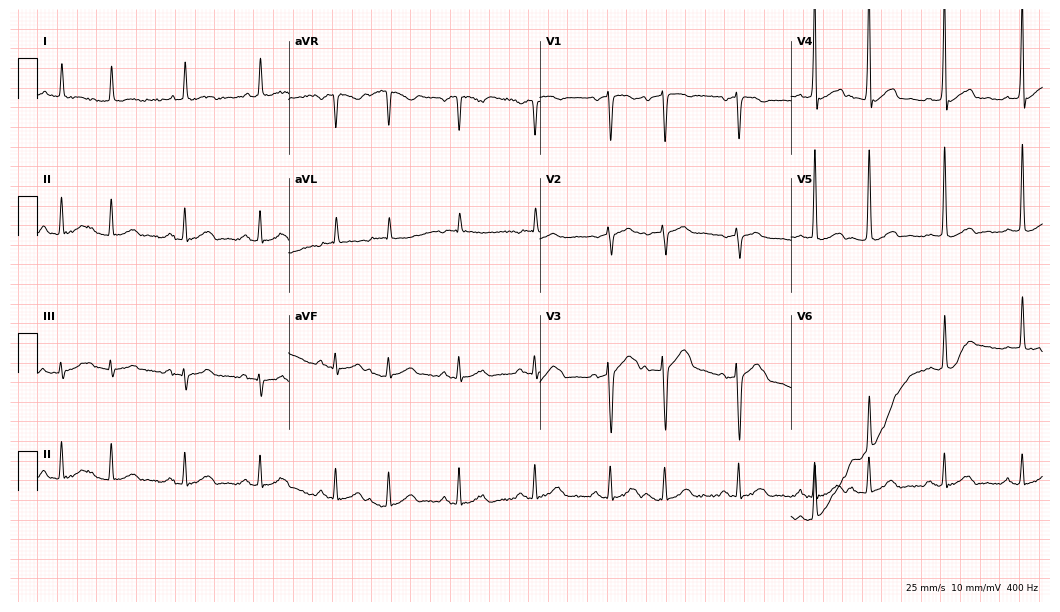
12-lead ECG from a 75-year-old woman (10.2-second recording at 400 Hz). No first-degree AV block, right bundle branch block, left bundle branch block, sinus bradycardia, atrial fibrillation or sinus tachycardia recorded for this tracing.